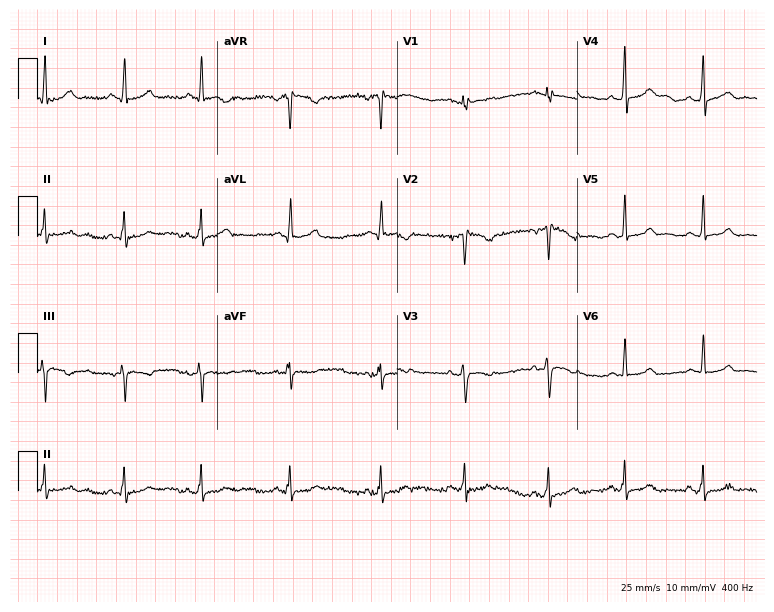
12-lead ECG from a female patient, 33 years old. Screened for six findings — first-degree AV block, right bundle branch block, left bundle branch block, sinus bradycardia, atrial fibrillation, sinus tachycardia — none is recorded. Only these six findings were labelled.